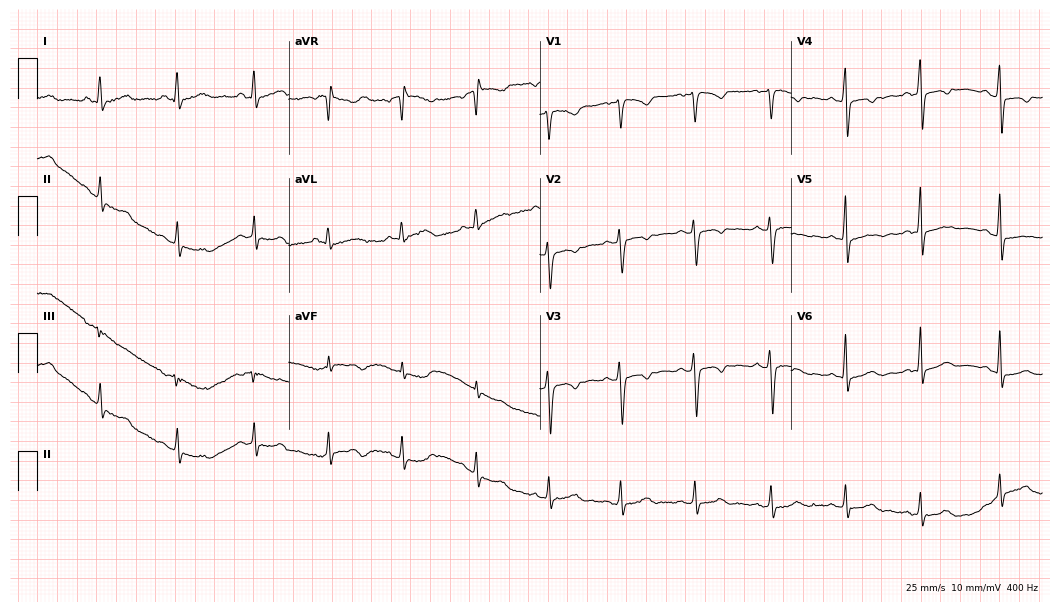
Standard 12-lead ECG recorded from a 32-year-old female patient. None of these six findings is recorded: first-degree AV block, right bundle branch block, left bundle branch block, sinus bradycardia, atrial fibrillation, sinus tachycardia. Other findings, if any, are not listed.